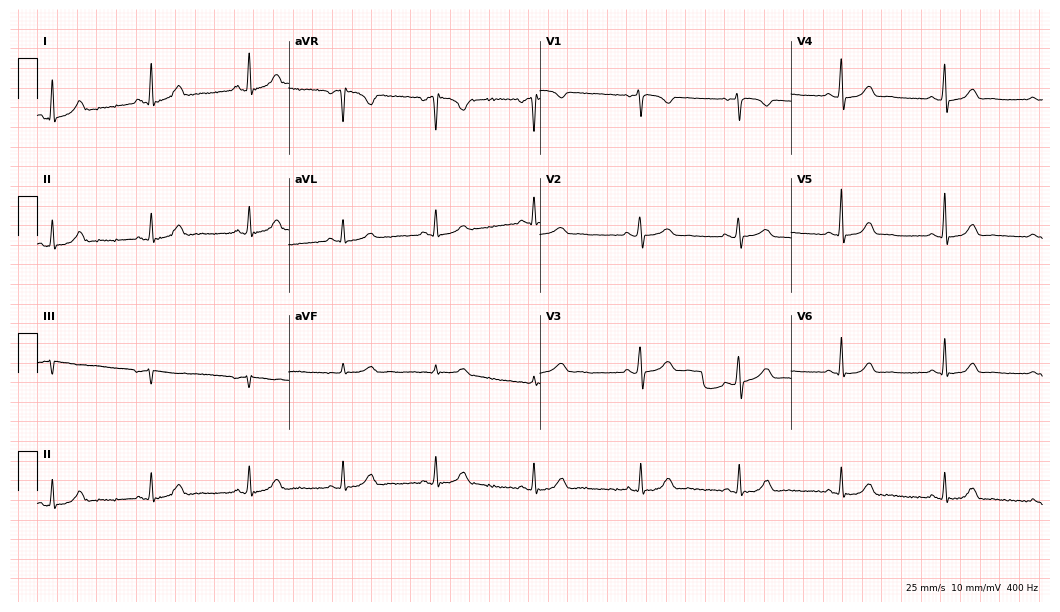
ECG (10.2-second recording at 400 Hz) — a female, 45 years old. Screened for six findings — first-degree AV block, right bundle branch block (RBBB), left bundle branch block (LBBB), sinus bradycardia, atrial fibrillation (AF), sinus tachycardia — none is recorded.